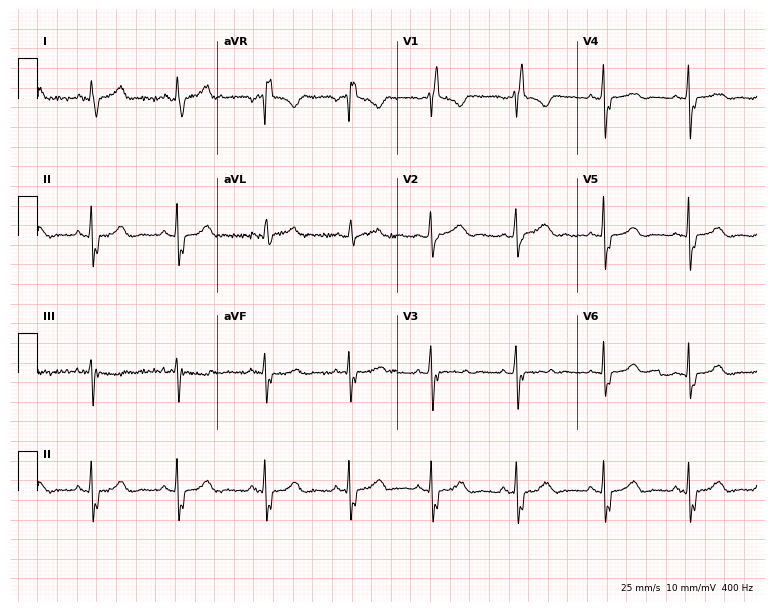
Resting 12-lead electrocardiogram (7.3-second recording at 400 Hz). Patient: a female, 47 years old. The tracing shows right bundle branch block.